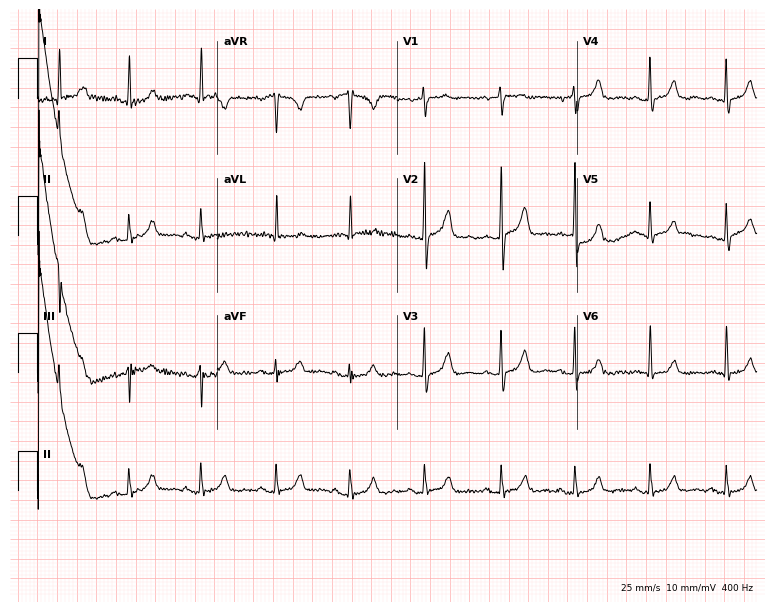
12-lead ECG from a woman, 70 years old (7.3-second recording at 400 Hz). Recorded interpretation: within normal limits.